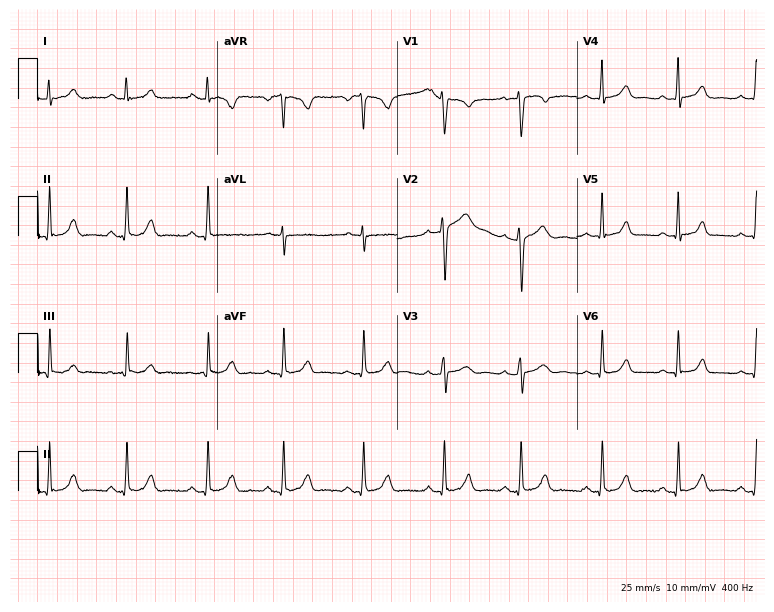
Standard 12-lead ECG recorded from a female patient, 21 years old (7.3-second recording at 400 Hz). None of these six findings is recorded: first-degree AV block, right bundle branch block, left bundle branch block, sinus bradycardia, atrial fibrillation, sinus tachycardia.